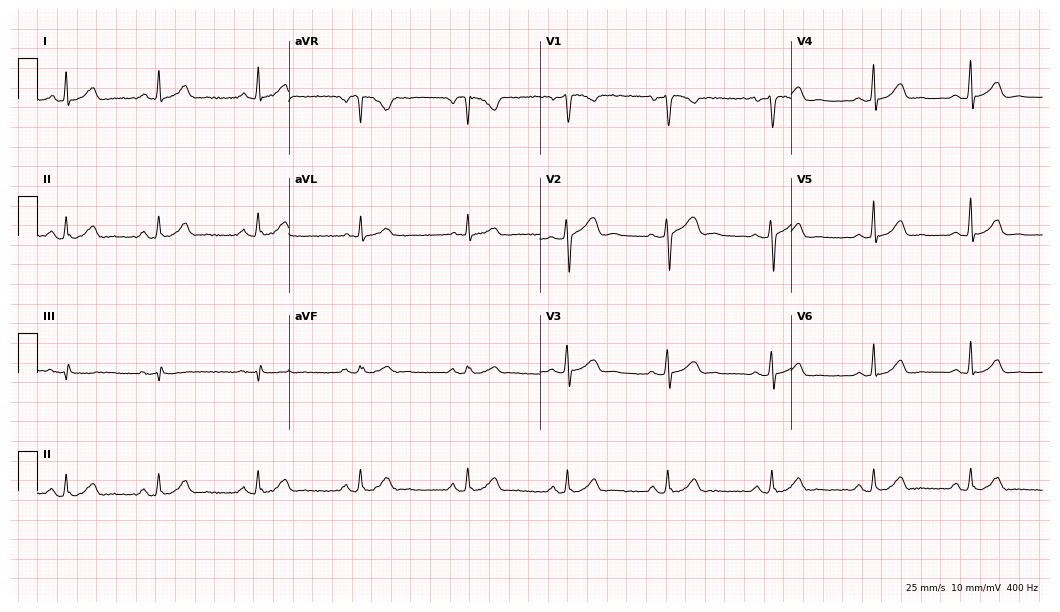
Standard 12-lead ECG recorded from a 37-year-old female (10.2-second recording at 400 Hz). Read as a normal ECG.